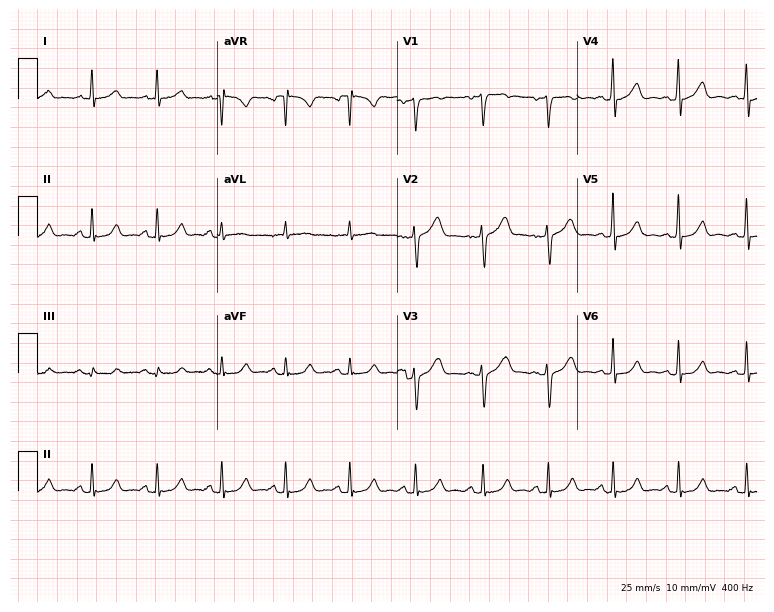
12-lead ECG from a 50-year-old male patient. Labelled as a normal ECG.